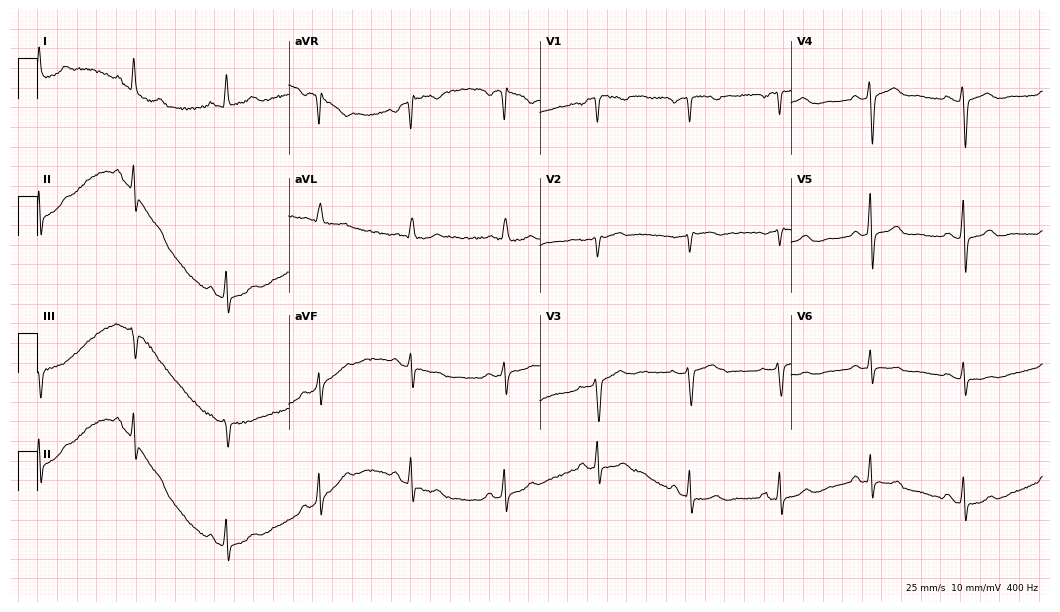
12-lead ECG from a 33-year-old male. No first-degree AV block, right bundle branch block, left bundle branch block, sinus bradycardia, atrial fibrillation or sinus tachycardia recorded for this tracing.